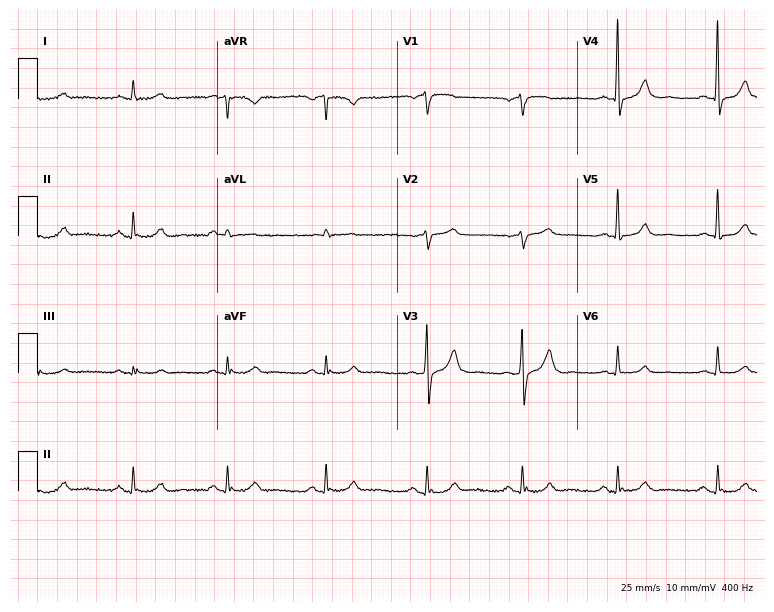
12-lead ECG from a male, 58 years old. Screened for six findings — first-degree AV block, right bundle branch block, left bundle branch block, sinus bradycardia, atrial fibrillation, sinus tachycardia — none is recorded.